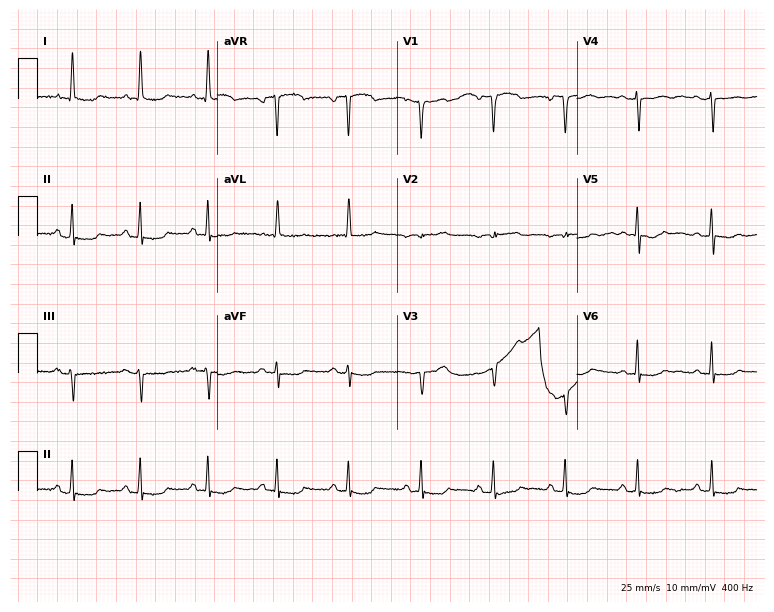
ECG — a 73-year-old female. Screened for six findings — first-degree AV block, right bundle branch block (RBBB), left bundle branch block (LBBB), sinus bradycardia, atrial fibrillation (AF), sinus tachycardia — none is recorded.